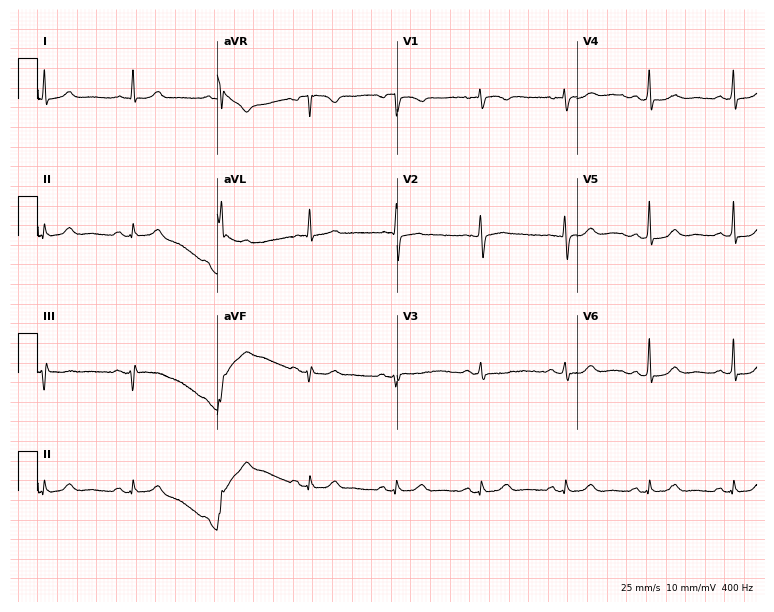
12-lead ECG from a woman, 72 years old. Screened for six findings — first-degree AV block, right bundle branch block, left bundle branch block, sinus bradycardia, atrial fibrillation, sinus tachycardia — none is recorded.